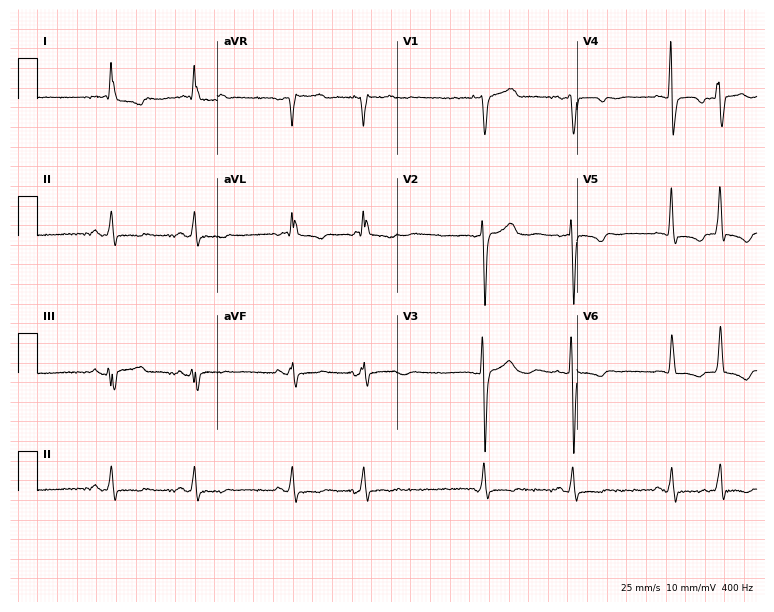
Standard 12-lead ECG recorded from a female, 85 years old. None of these six findings is recorded: first-degree AV block, right bundle branch block (RBBB), left bundle branch block (LBBB), sinus bradycardia, atrial fibrillation (AF), sinus tachycardia. Findings outside these six are not listed.